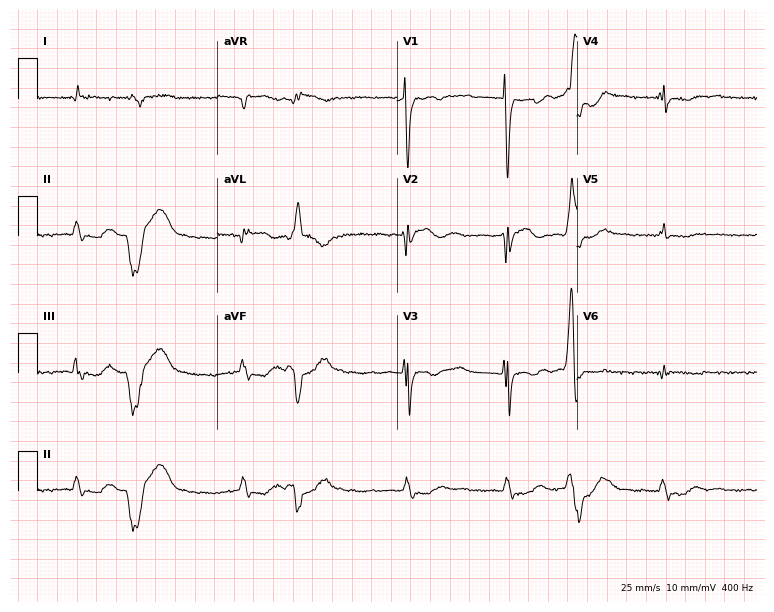
Electrocardiogram, a 62-year-old male patient. Of the six screened findings (first-degree AV block, right bundle branch block (RBBB), left bundle branch block (LBBB), sinus bradycardia, atrial fibrillation (AF), sinus tachycardia), none is recorded.